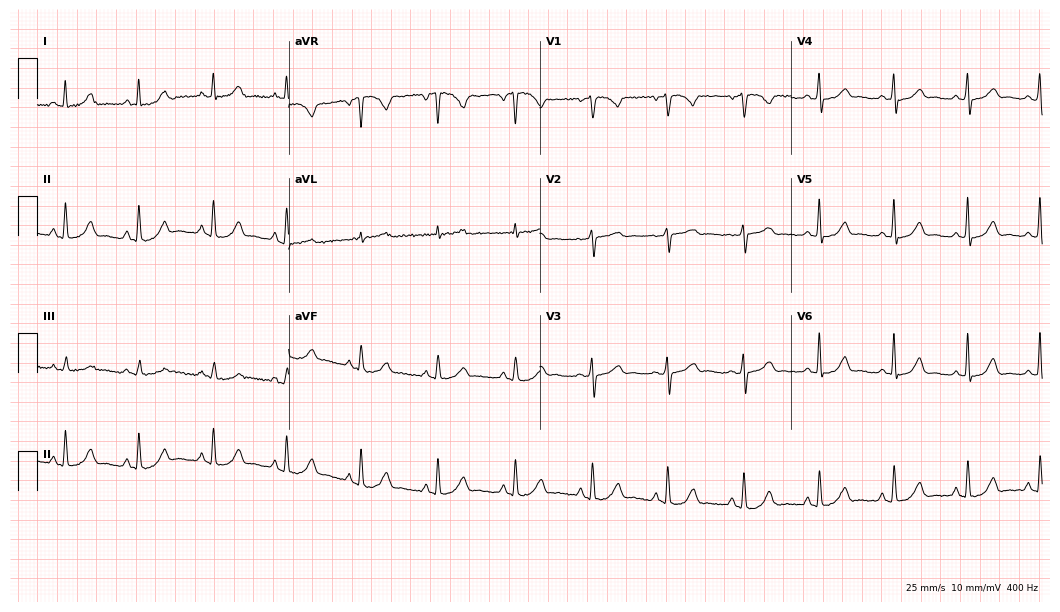
12-lead ECG (10.2-second recording at 400 Hz) from a female patient, 71 years old. Screened for six findings — first-degree AV block, right bundle branch block, left bundle branch block, sinus bradycardia, atrial fibrillation, sinus tachycardia — none is recorded. Other findings, if any, are not listed.